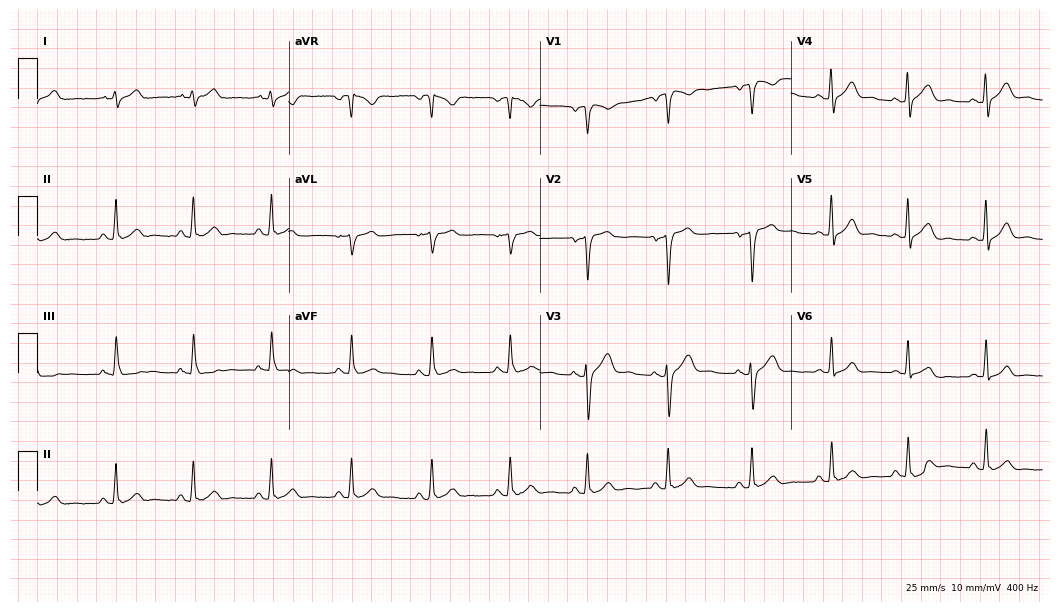
ECG — a 29-year-old man. Labelled as a normal ECG.